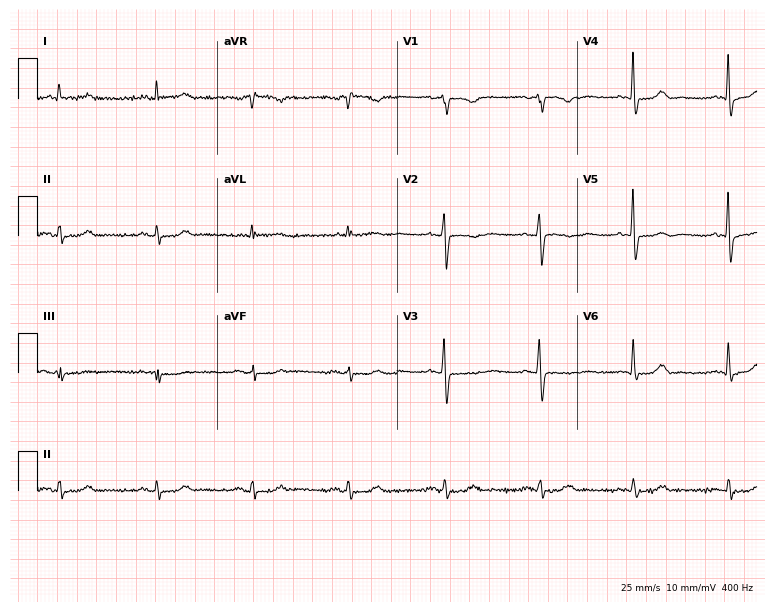
Resting 12-lead electrocardiogram. Patient: an 84-year-old male. None of these six findings is recorded: first-degree AV block, right bundle branch block, left bundle branch block, sinus bradycardia, atrial fibrillation, sinus tachycardia. Findings outside these six are not listed.